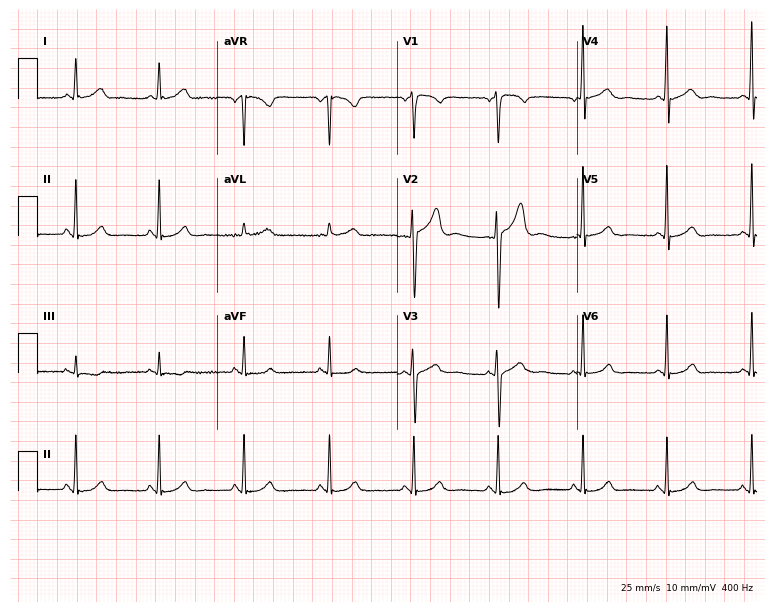
12-lead ECG from a female patient, 48 years old. No first-degree AV block, right bundle branch block, left bundle branch block, sinus bradycardia, atrial fibrillation or sinus tachycardia recorded for this tracing.